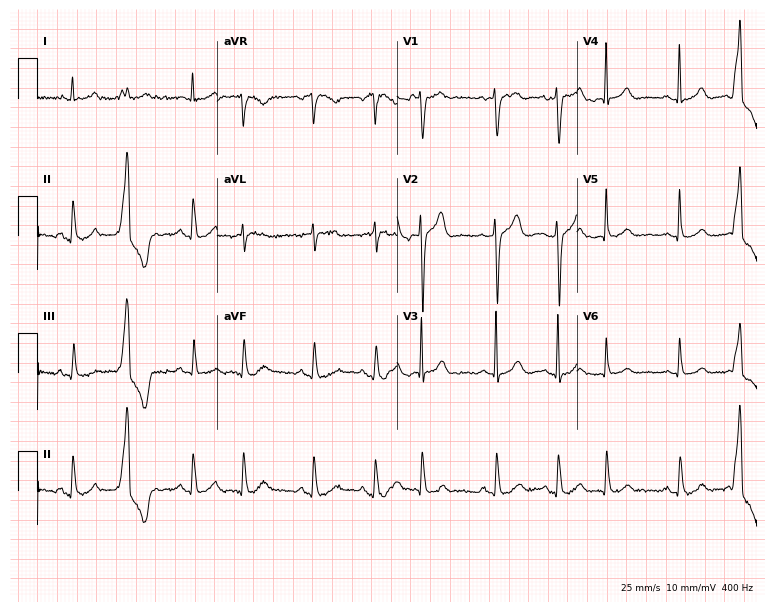
Standard 12-lead ECG recorded from a 67-year-old man. None of these six findings is recorded: first-degree AV block, right bundle branch block, left bundle branch block, sinus bradycardia, atrial fibrillation, sinus tachycardia. Findings outside these six are not listed.